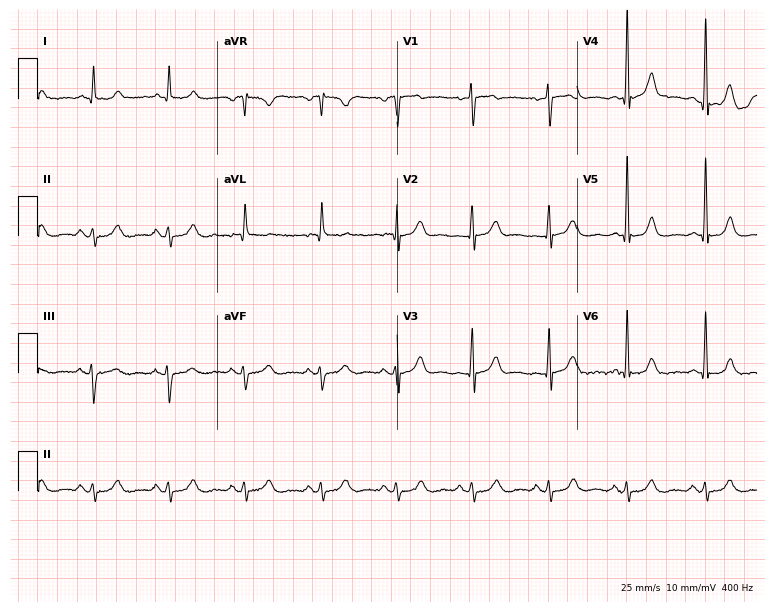
Standard 12-lead ECG recorded from a 73-year-old female patient. None of these six findings is recorded: first-degree AV block, right bundle branch block, left bundle branch block, sinus bradycardia, atrial fibrillation, sinus tachycardia. Other findings, if any, are not listed.